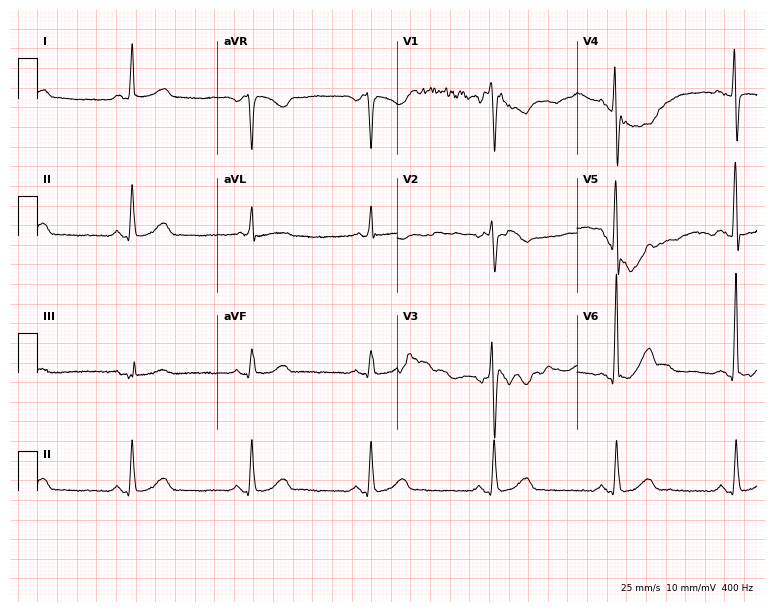
Electrocardiogram, a man, 45 years old. Of the six screened findings (first-degree AV block, right bundle branch block, left bundle branch block, sinus bradycardia, atrial fibrillation, sinus tachycardia), none is recorded.